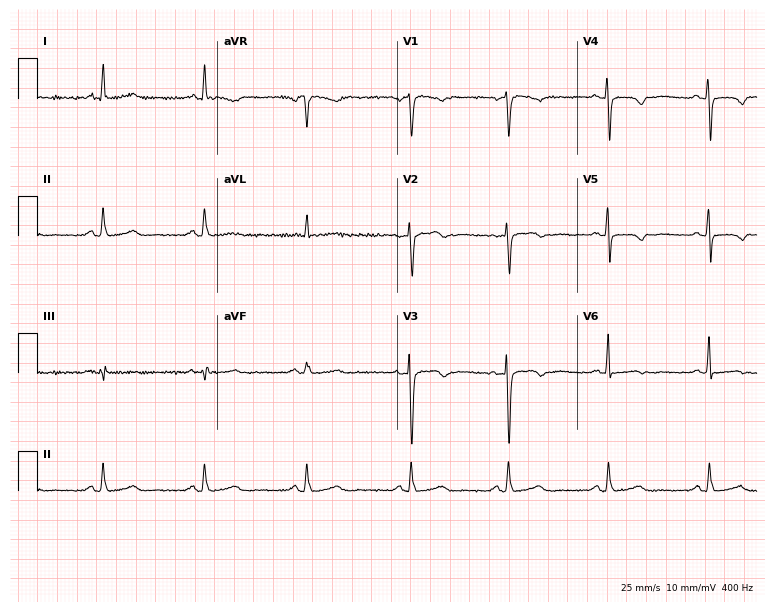
Electrocardiogram, a 51-year-old woman. Of the six screened findings (first-degree AV block, right bundle branch block (RBBB), left bundle branch block (LBBB), sinus bradycardia, atrial fibrillation (AF), sinus tachycardia), none is recorded.